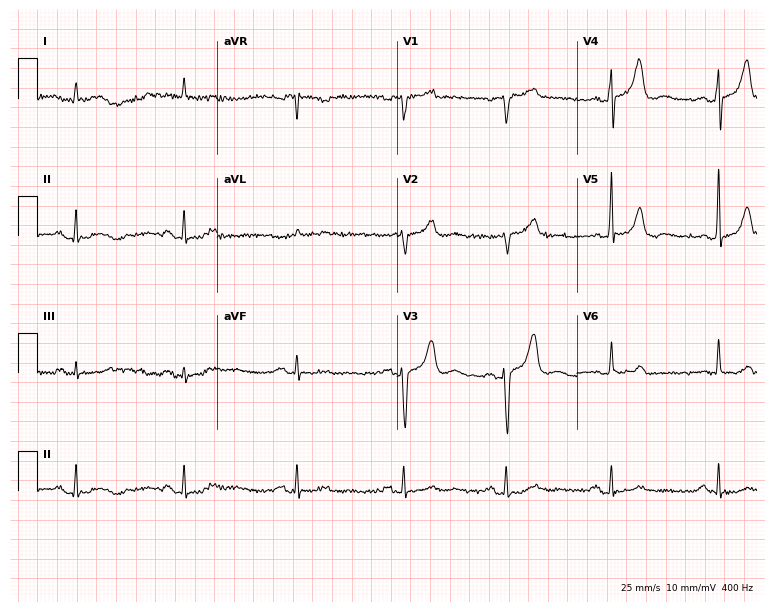
12-lead ECG from a male, 73 years old (7.3-second recording at 400 Hz). No first-degree AV block, right bundle branch block (RBBB), left bundle branch block (LBBB), sinus bradycardia, atrial fibrillation (AF) or sinus tachycardia recorded for this tracing. Findings outside these six are not listed.